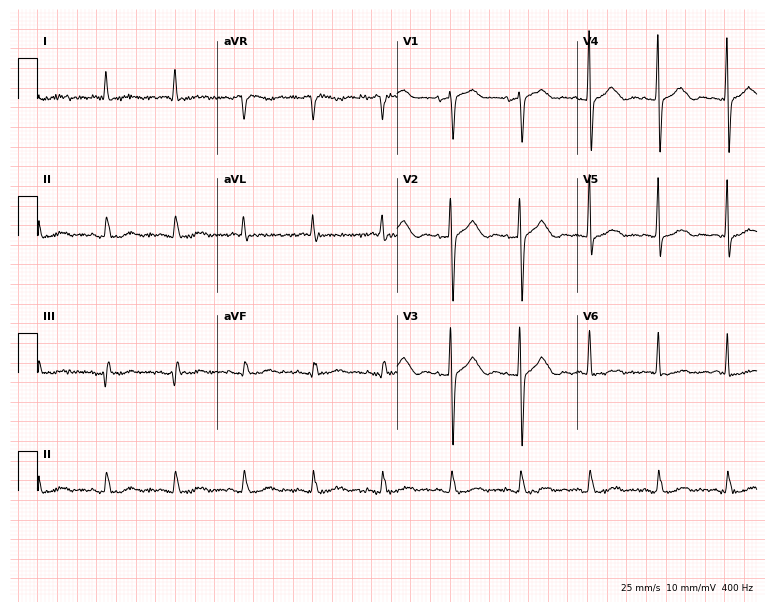
12-lead ECG from a female patient, 80 years old (7.3-second recording at 400 Hz). No first-degree AV block, right bundle branch block, left bundle branch block, sinus bradycardia, atrial fibrillation or sinus tachycardia recorded for this tracing. Other findings, if any, are not listed.